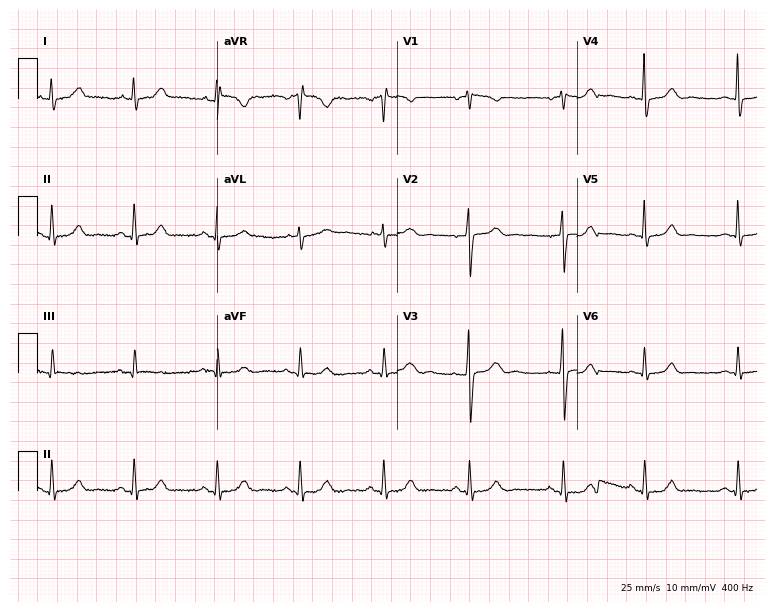
Resting 12-lead electrocardiogram. Patient: a woman, 65 years old. Read as a normal ECG.